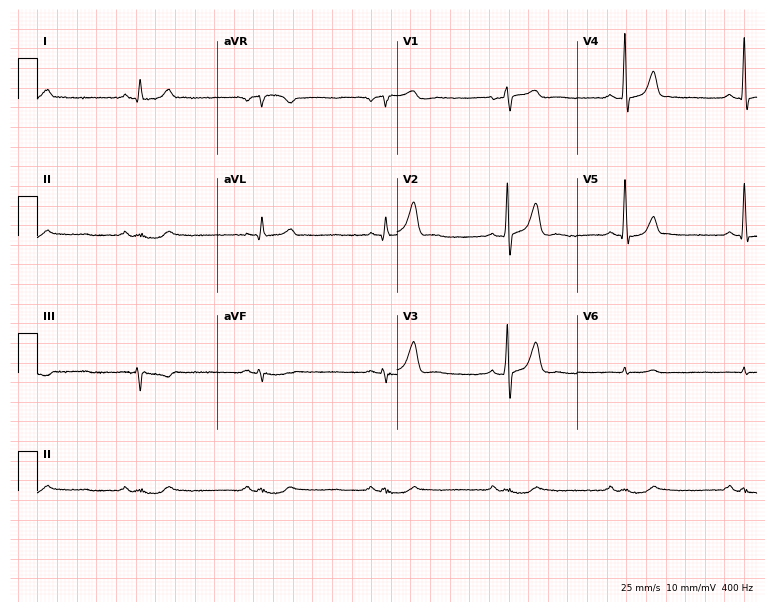
12-lead ECG from a 68-year-old male patient. No first-degree AV block, right bundle branch block, left bundle branch block, sinus bradycardia, atrial fibrillation or sinus tachycardia recorded for this tracing. Other findings, if any, are not listed.